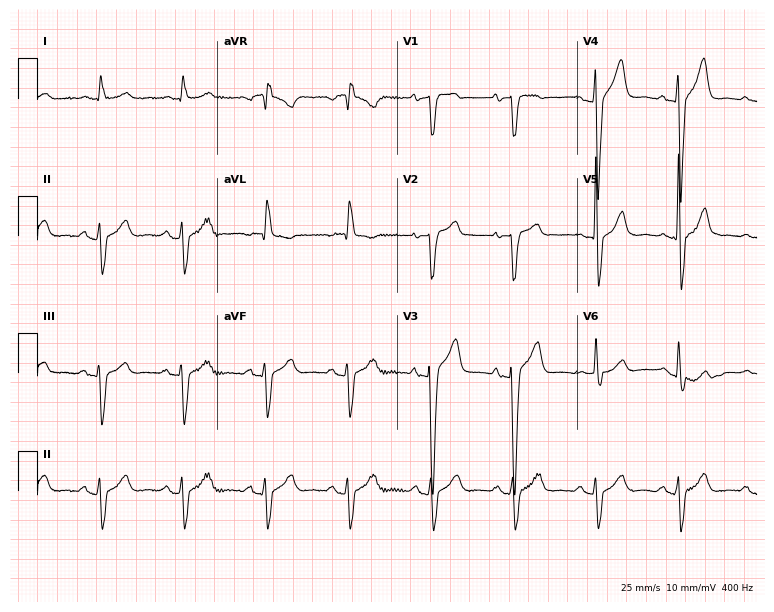
Standard 12-lead ECG recorded from a 65-year-old male. None of these six findings is recorded: first-degree AV block, right bundle branch block (RBBB), left bundle branch block (LBBB), sinus bradycardia, atrial fibrillation (AF), sinus tachycardia.